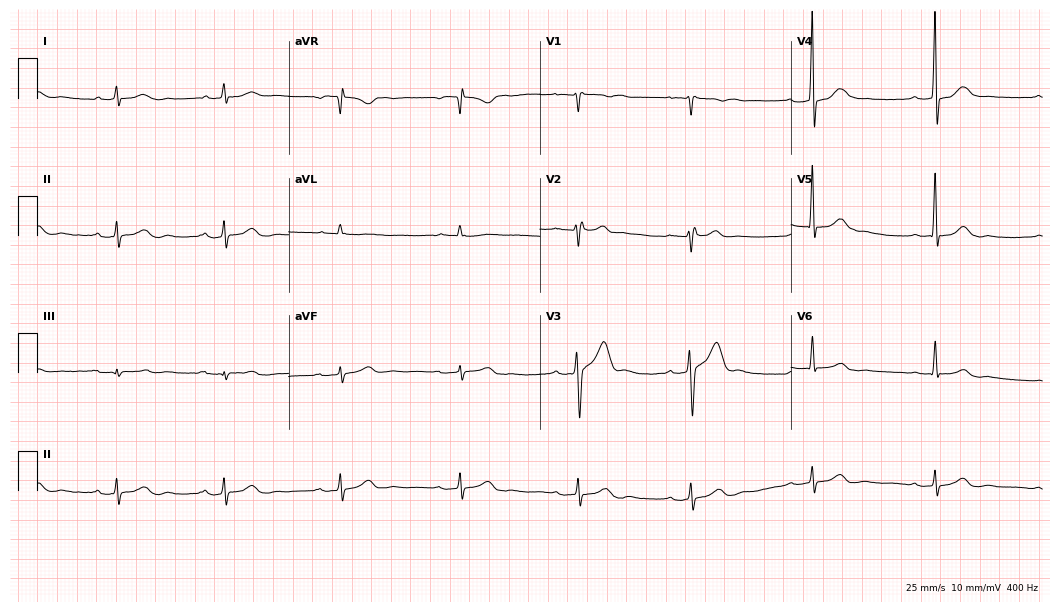
12-lead ECG from a 31-year-old male patient (10.2-second recording at 400 Hz). Shows first-degree AV block.